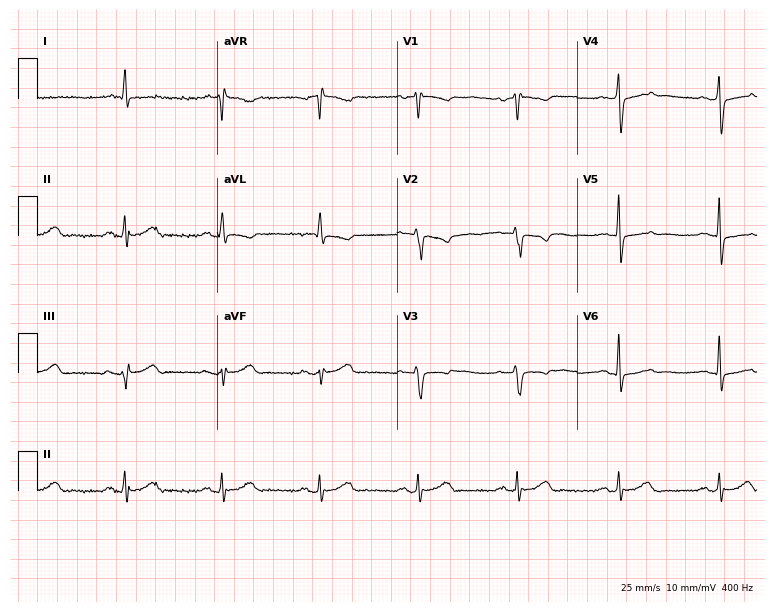
Standard 12-lead ECG recorded from a 77-year-old female. Read as a normal ECG.